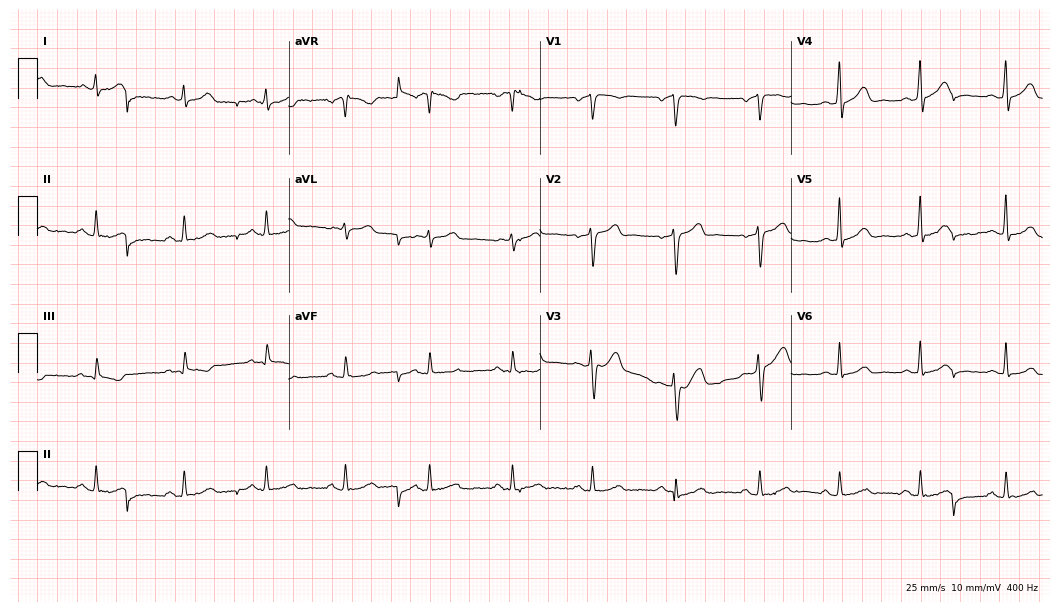
12-lead ECG from a 58-year-old male. Labelled as a normal ECG.